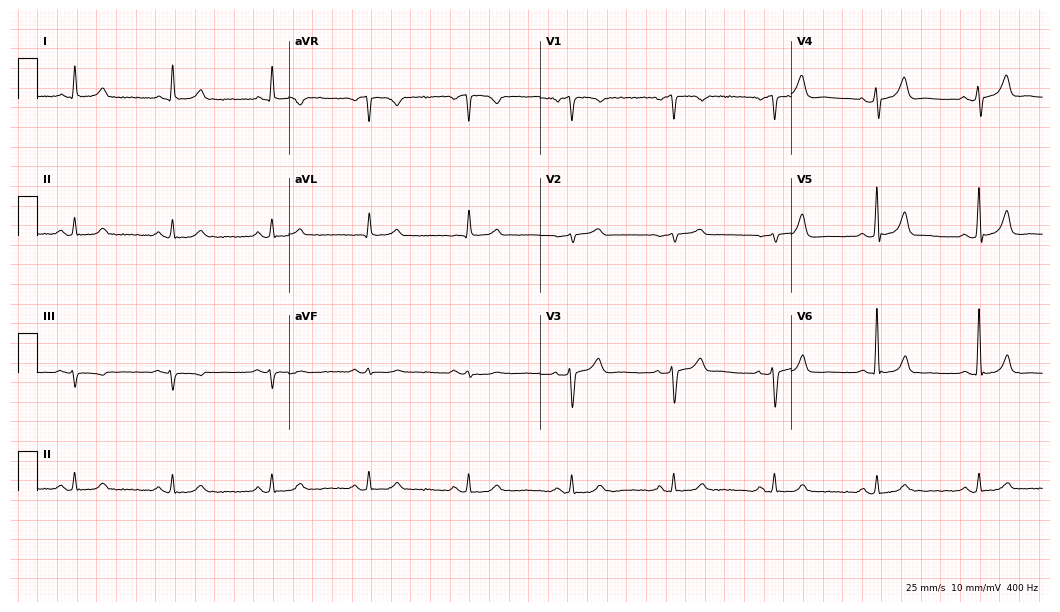
Standard 12-lead ECG recorded from a male, 74 years old (10.2-second recording at 400 Hz). Read as a normal ECG.